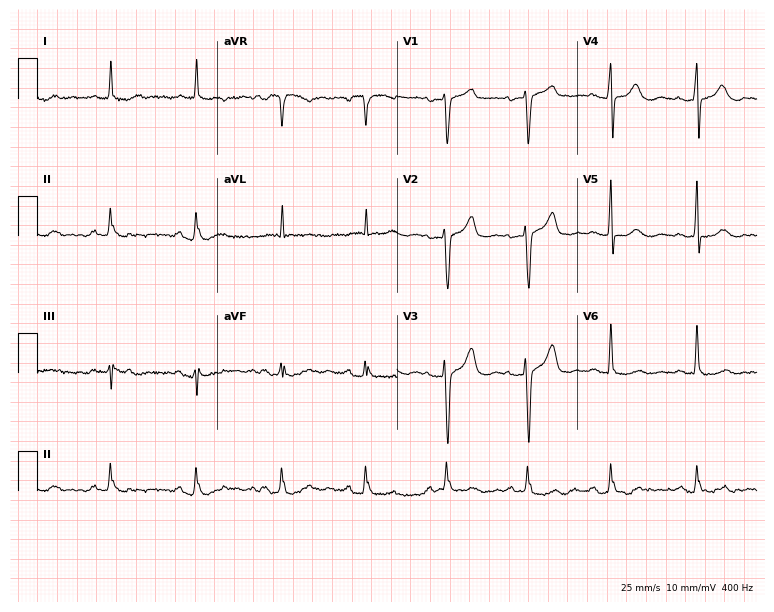
12-lead ECG from a female patient, 63 years old. Screened for six findings — first-degree AV block, right bundle branch block, left bundle branch block, sinus bradycardia, atrial fibrillation, sinus tachycardia — none is recorded. Only these six findings were labelled.